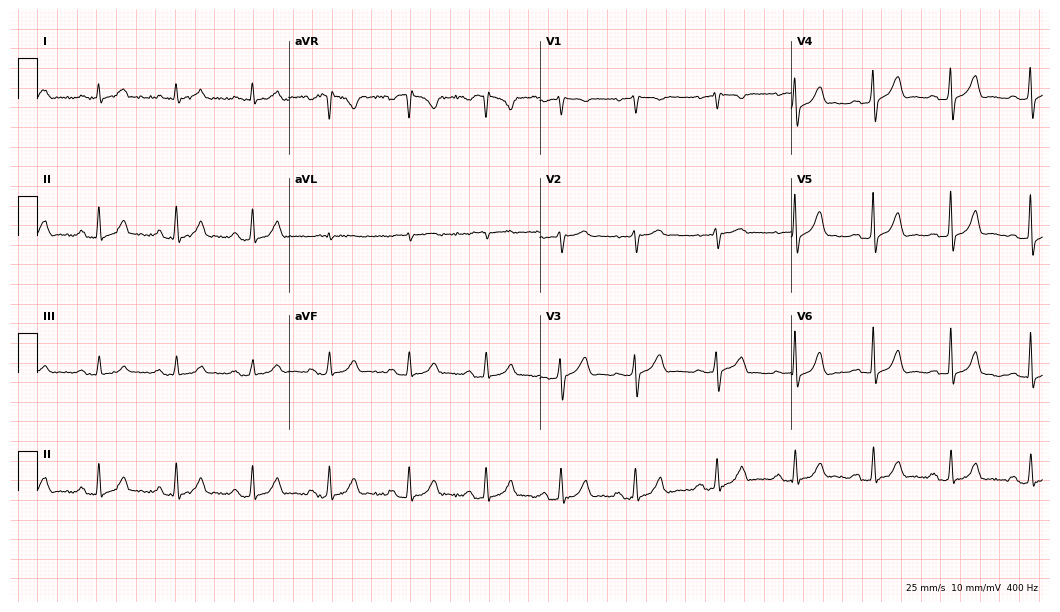
Electrocardiogram, a 62-year-old woman. Overall reading on record: normal ECG.